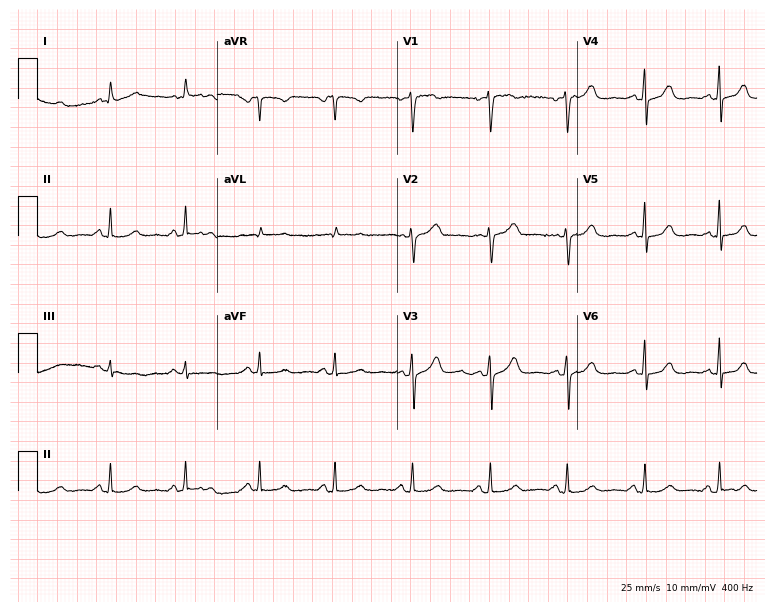
12-lead ECG from a female patient, 61 years old (7.3-second recording at 400 Hz). No first-degree AV block, right bundle branch block (RBBB), left bundle branch block (LBBB), sinus bradycardia, atrial fibrillation (AF) or sinus tachycardia recorded for this tracing.